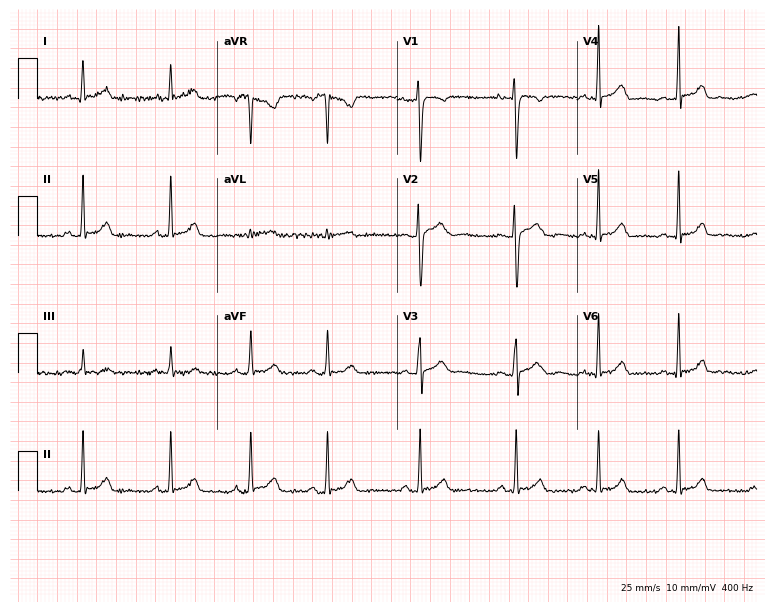
Electrocardiogram (7.3-second recording at 400 Hz), a 21-year-old female patient. Overall reading on record: normal ECG.